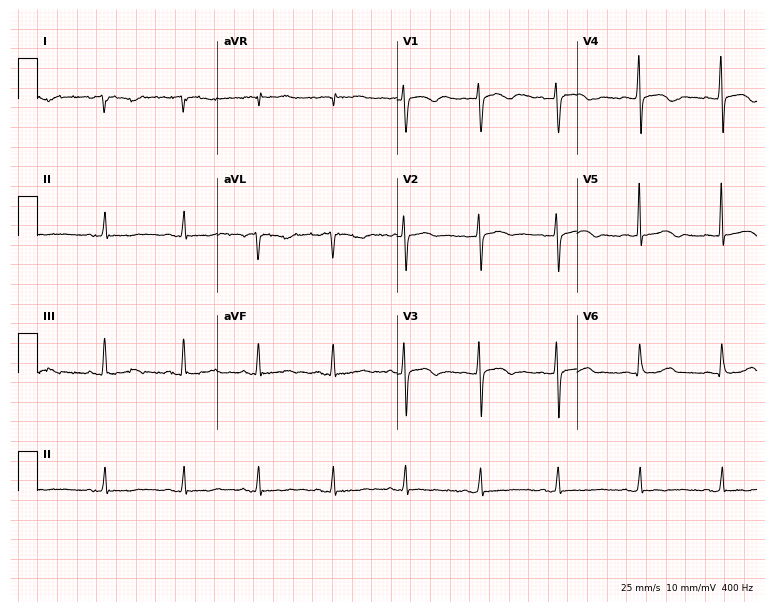
ECG (7.3-second recording at 400 Hz) — a 54-year-old male patient. Screened for six findings — first-degree AV block, right bundle branch block, left bundle branch block, sinus bradycardia, atrial fibrillation, sinus tachycardia — none is recorded.